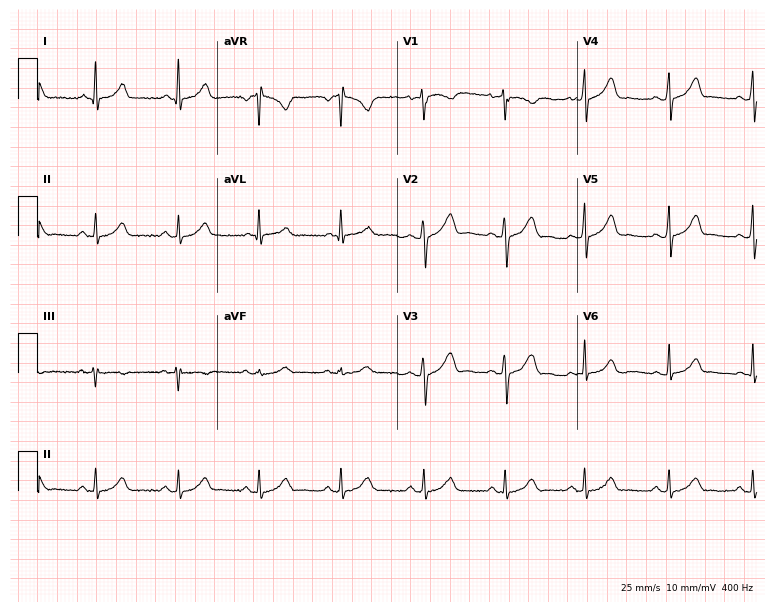
12-lead ECG from a 31-year-old female patient. Recorded interpretation: within normal limits.